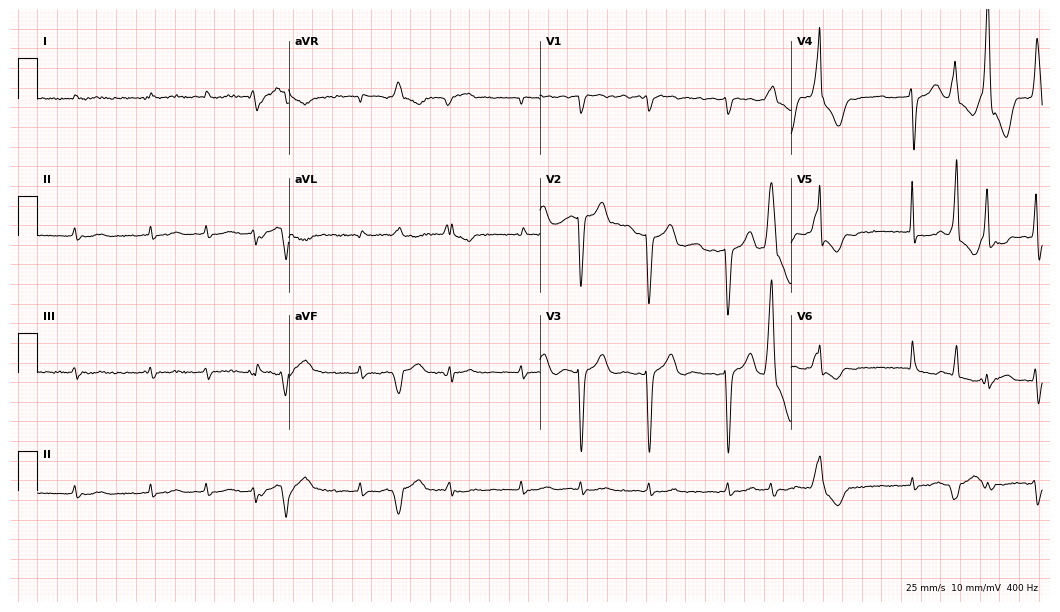
12-lead ECG from a male, 82 years old (10.2-second recording at 400 Hz). Shows atrial fibrillation (AF).